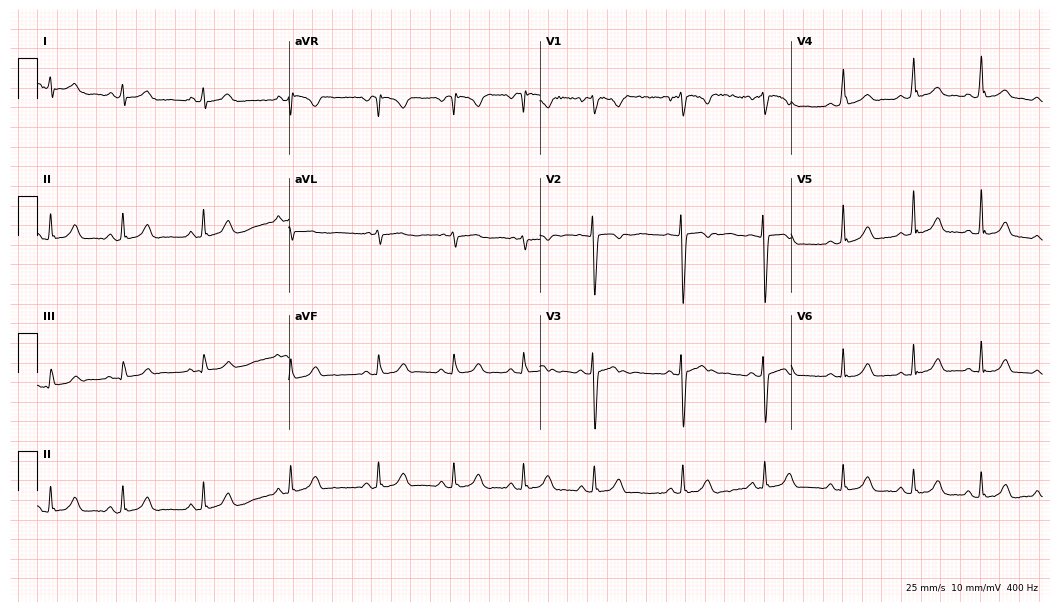
Resting 12-lead electrocardiogram (10.2-second recording at 400 Hz). Patient: a female, 17 years old. Read as a normal ECG.